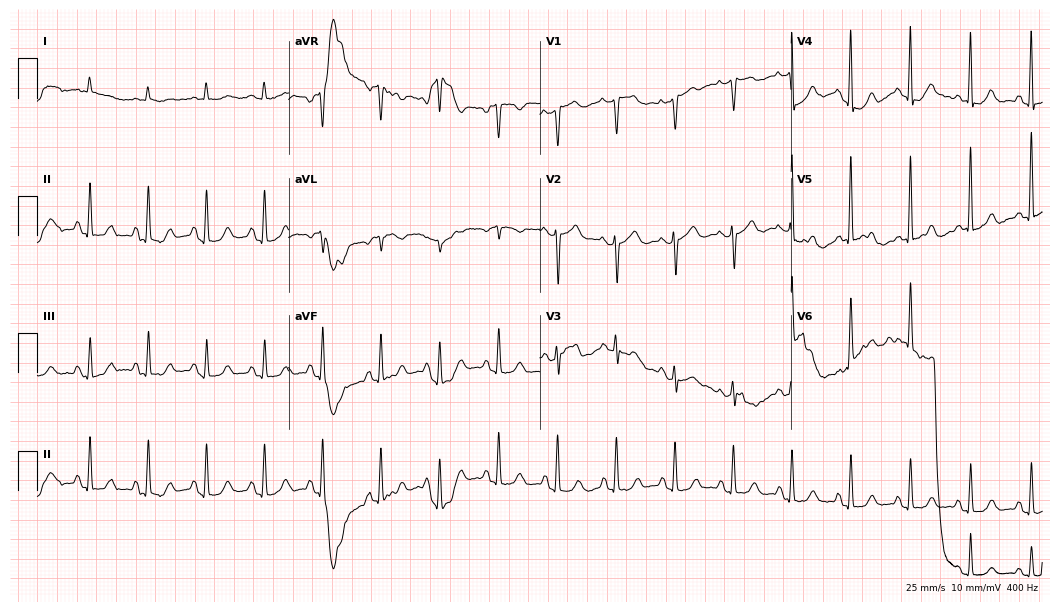
Resting 12-lead electrocardiogram (10.2-second recording at 400 Hz). Patient: a woman, 74 years old. None of these six findings is recorded: first-degree AV block, right bundle branch block, left bundle branch block, sinus bradycardia, atrial fibrillation, sinus tachycardia.